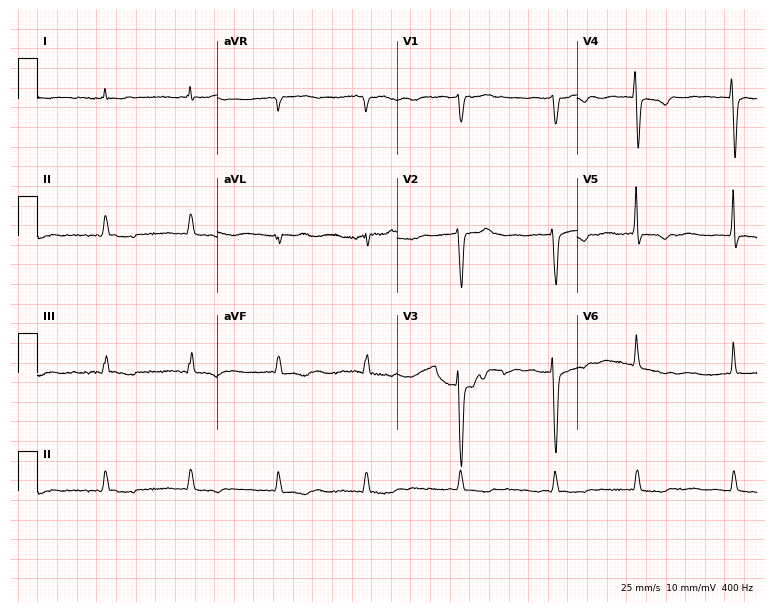
Electrocardiogram (7.3-second recording at 400 Hz), a 76-year-old female. Of the six screened findings (first-degree AV block, right bundle branch block, left bundle branch block, sinus bradycardia, atrial fibrillation, sinus tachycardia), none is recorded.